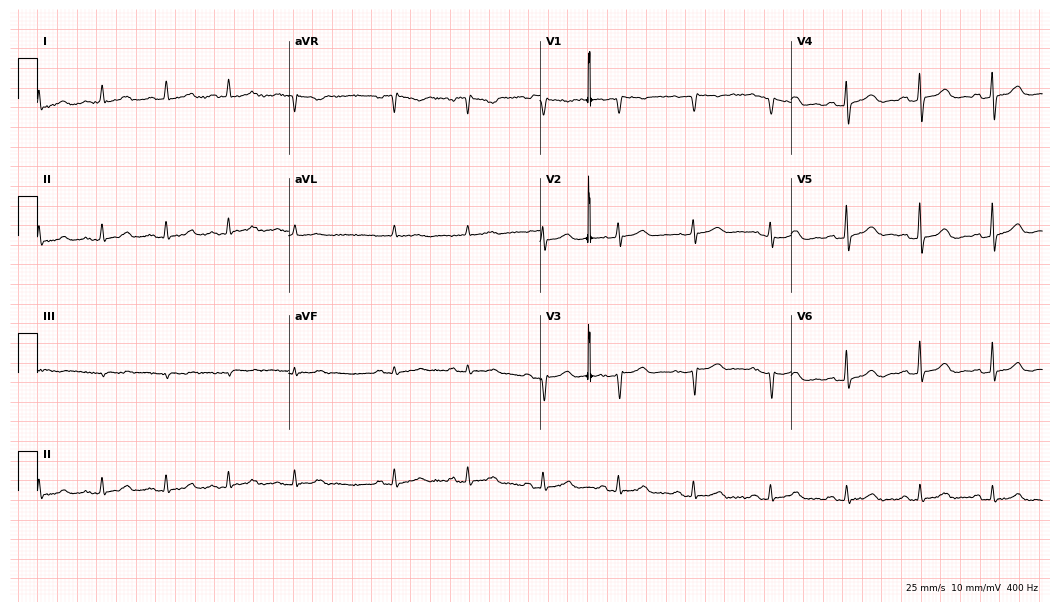
ECG — a female patient, 73 years old. Labelled as a normal ECG.